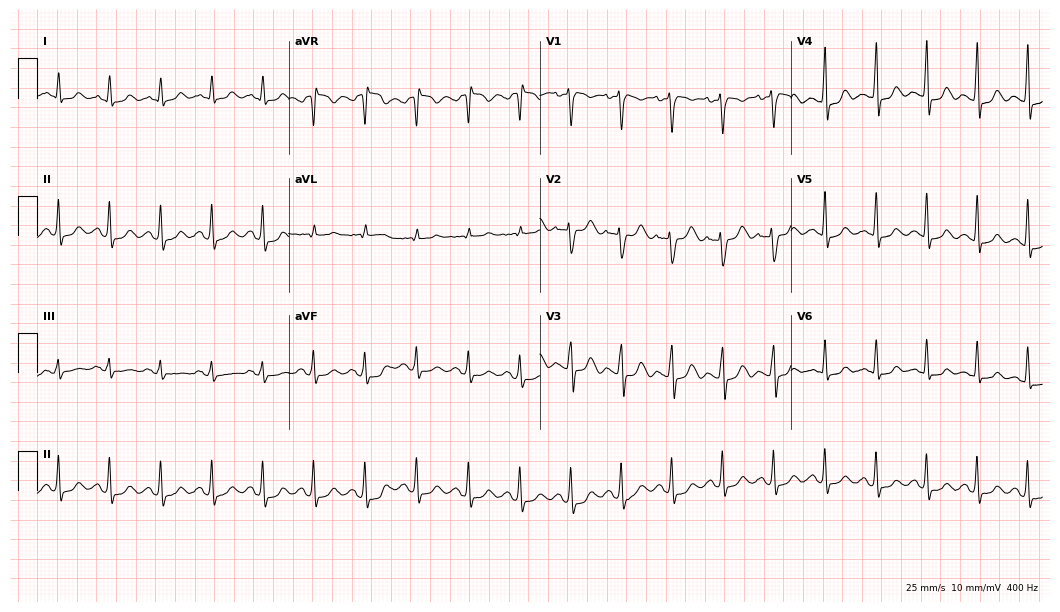
Resting 12-lead electrocardiogram (10.2-second recording at 400 Hz). Patient: a 20-year-old female. The tracing shows sinus tachycardia (a sinus rate of 100 beats per minute or more).